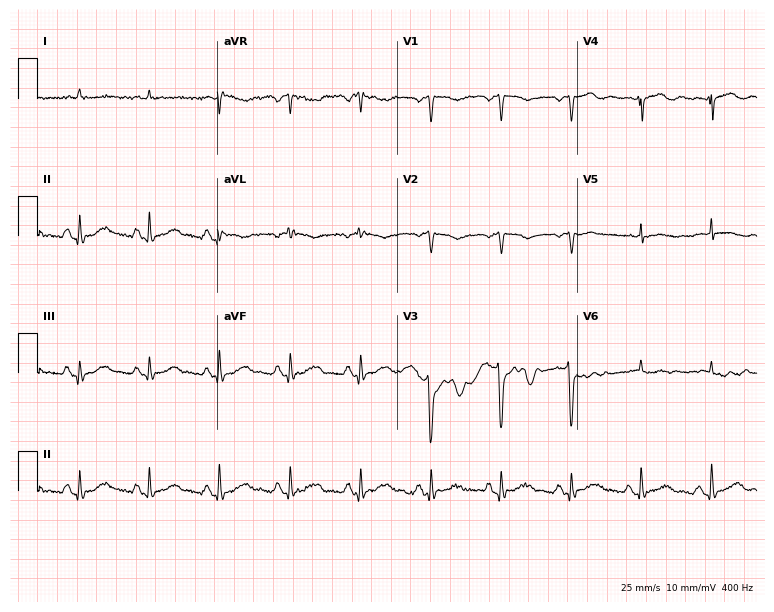
Resting 12-lead electrocardiogram (7.3-second recording at 400 Hz). Patient: a male, 73 years old. None of these six findings is recorded: first-degree AV block, right bundle branch block, left bundle branch block, sinus bradycardia, atrial fibrillation, sinus tachycardia.